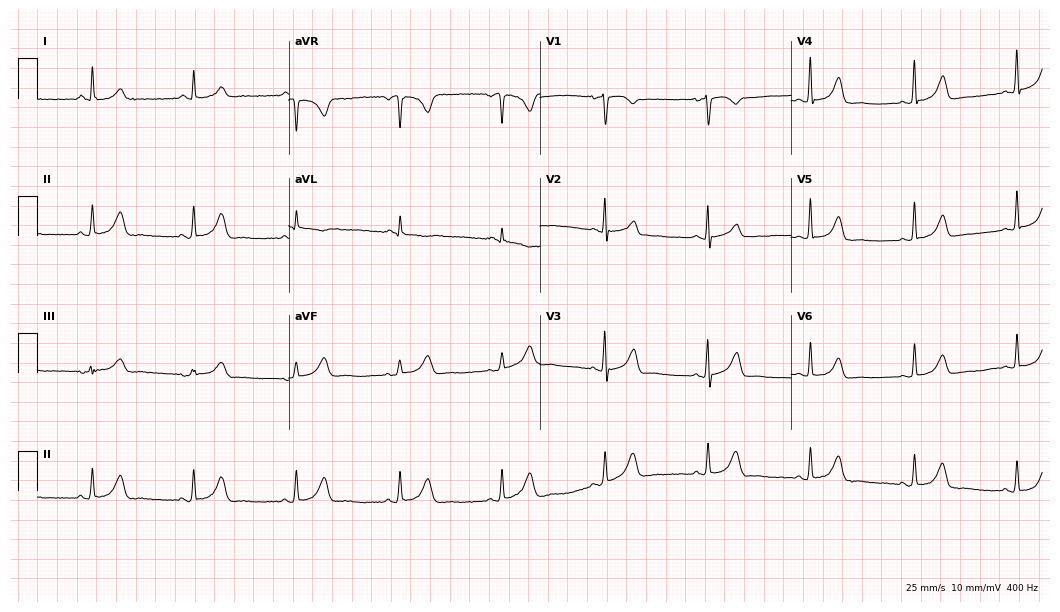
ECG — a 64-year-old female. Labelled as a normal ECG.